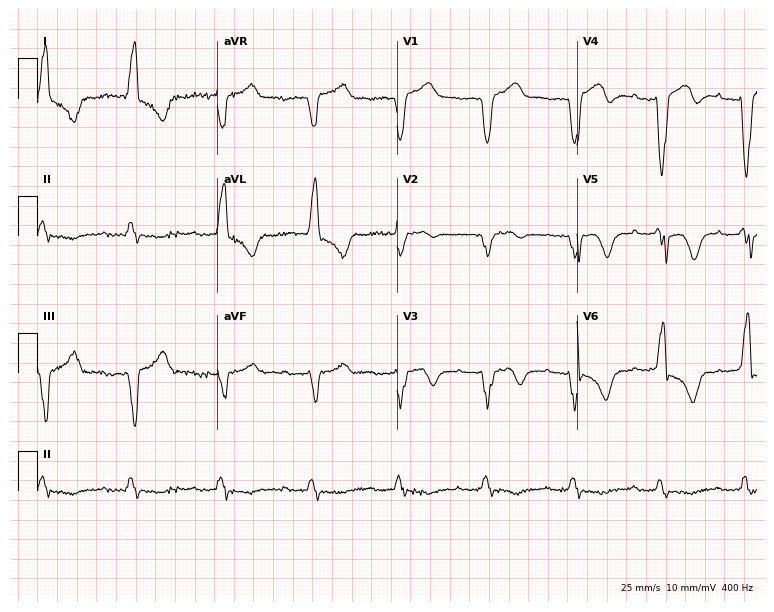
Electrocardiogram (7.3-second recording at 400 Hz), a man, 84 years old. Of the six screened findings (first-degree AV block, right bundle branch block, left bundle branch block, sinus bradycardia, atrial fibrillation, sinus tachycardia), none is recorded.